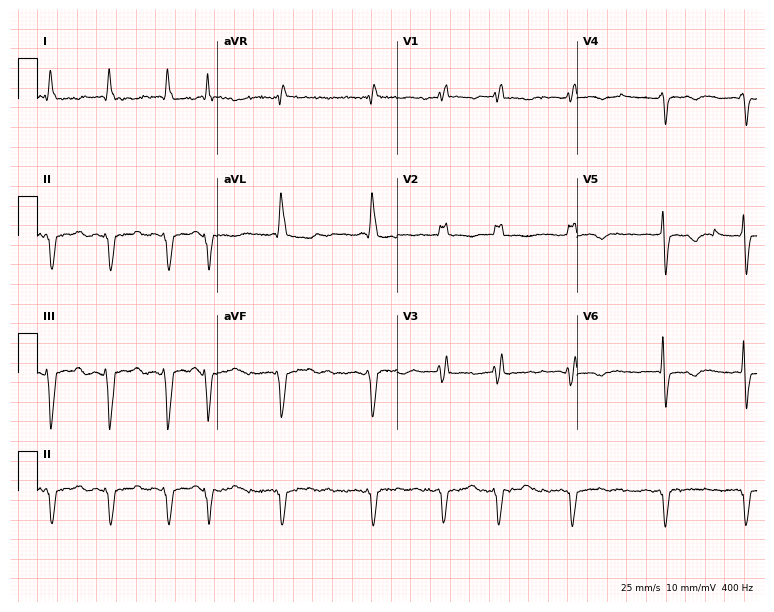
Electrocardiogram, a female, 77 years old. Interpretation includes atrial fibrillation.